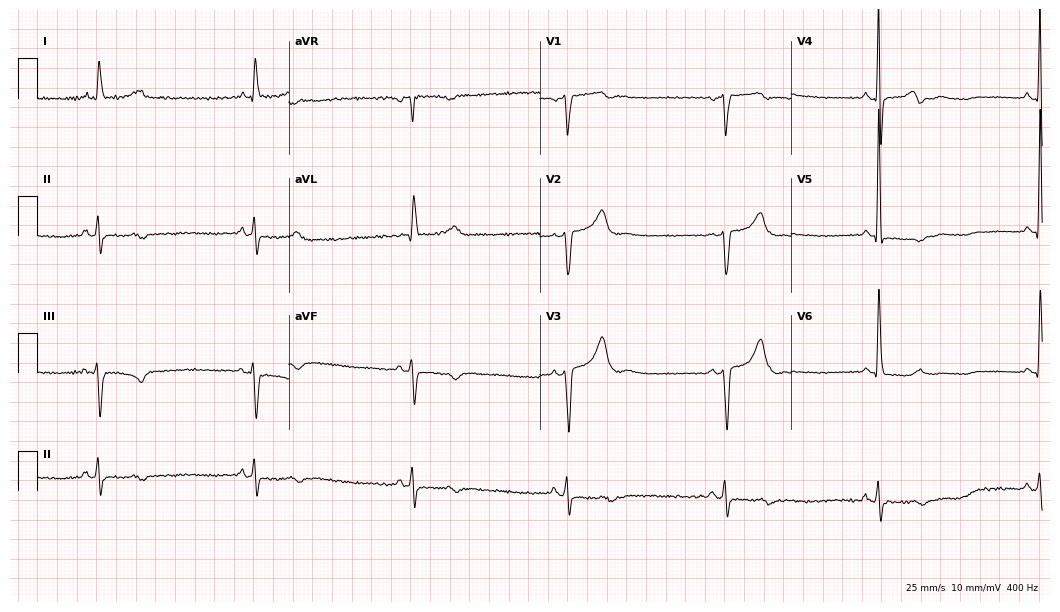
12-lead ECG from a male patient, 71 years old. Findings include sinus bradycardia (a sinus rate of 50 beats per minute or less).